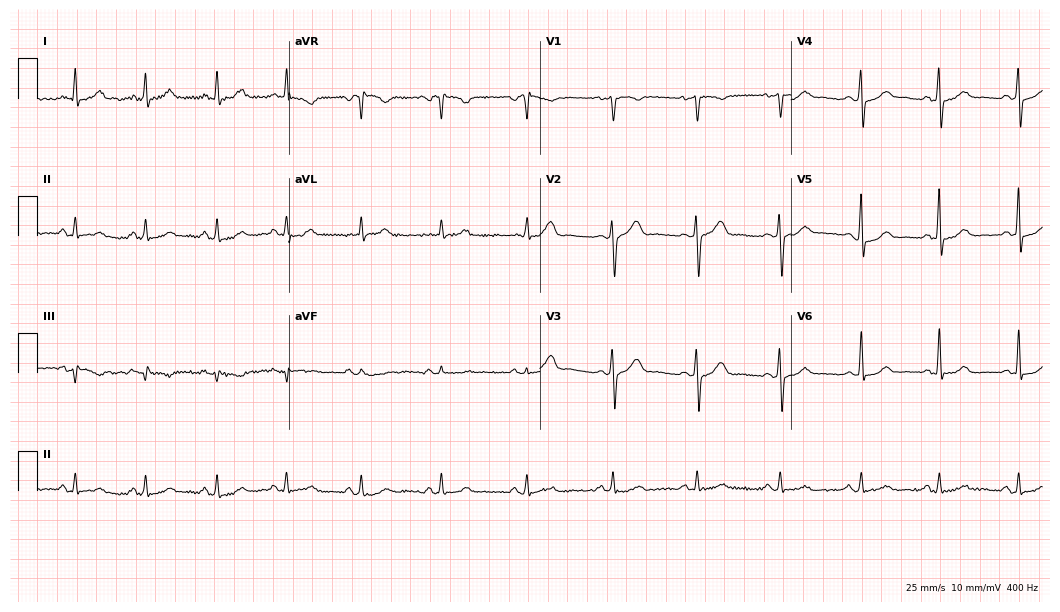
ECG (10.2-second recording at 400 Hz) — a woman, 39 years old. Labelled as a normal ECG.